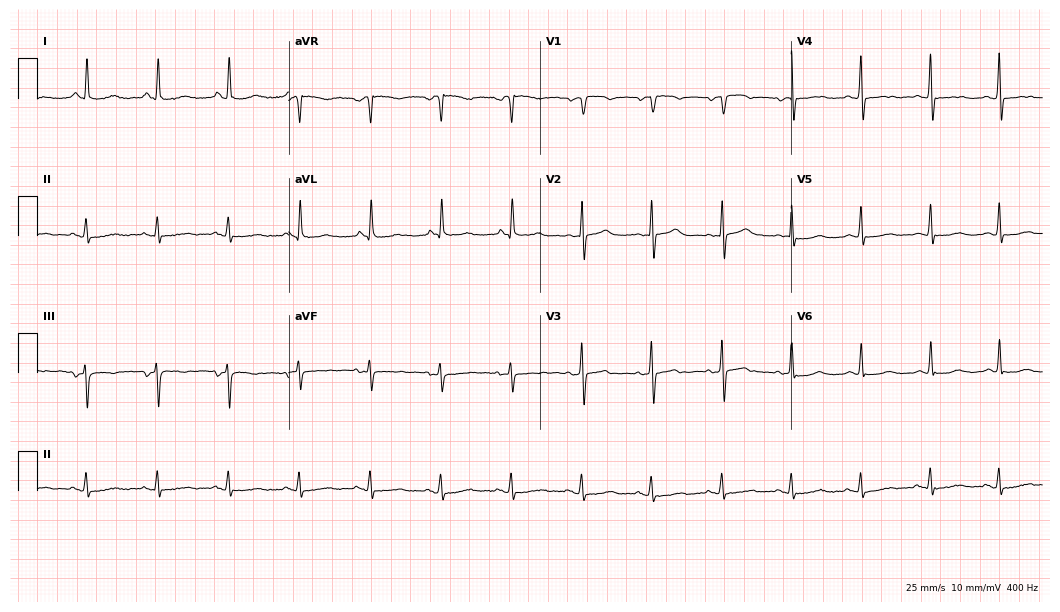
ECG (10.2-second recording at 400 Hz) — a female, 78 years old. Screened for six findings — first-degree AV block, right bundle branch block, left bundle branch block, sinus bradycardia, atrial fibrillation, sinus tachycardia — none is recorded. Only these six findings were labelled.